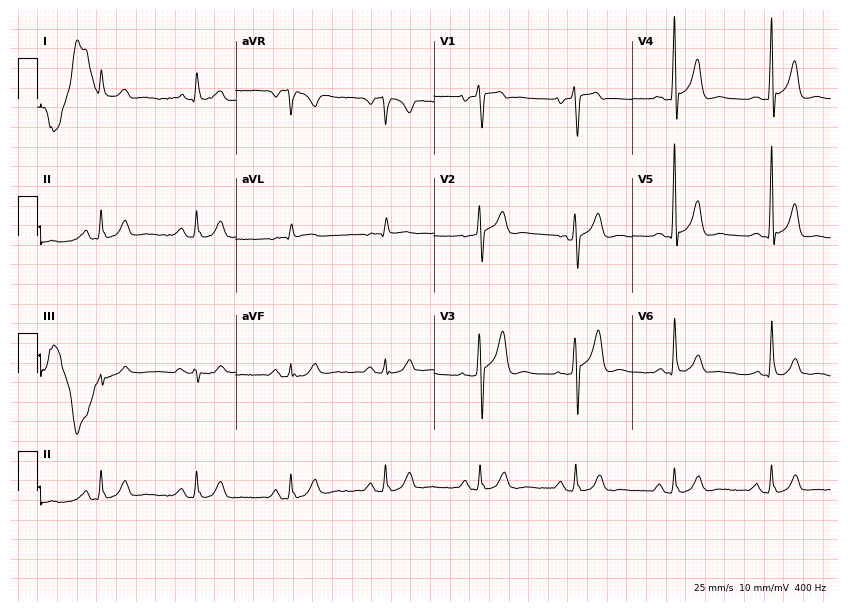
Resting 12-lead electrocardiogram (8.1-second recording at 400 Hz). Patient: a 75-year-old male. Read as a normal ECG.